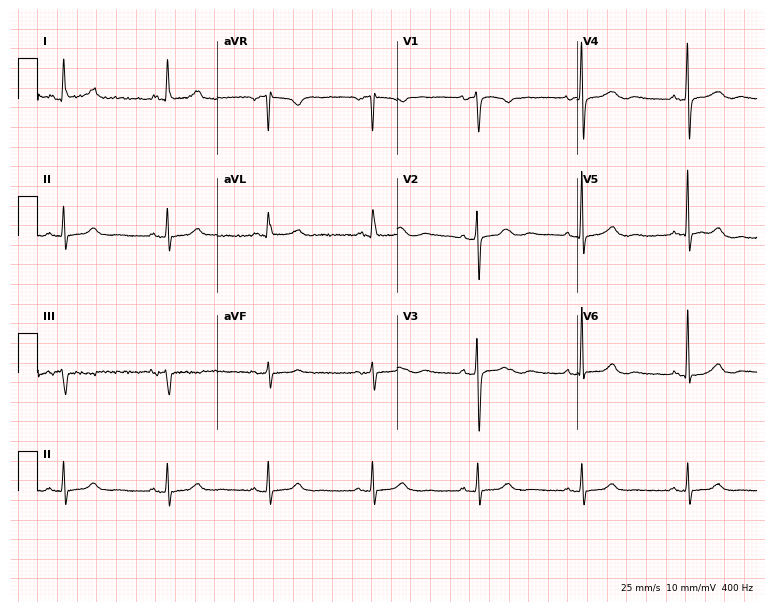
Electrocardiogram (7.3-second recording at 400 Hz), a 74-year-old female. Overall reading on record: normal ECG.